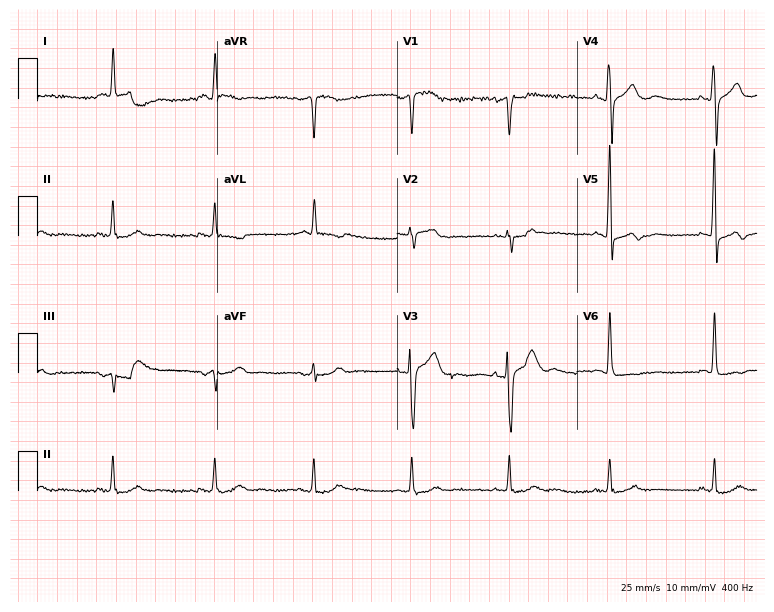
Electrocardiogram (7.3-second recording at 400 Hz), a 71-year-old man. Of the six screened findings (first-degree AV block, right bundle branch block (RBBB), left bundle branch block (LBBB), sinus bradycardia, atrial fibrillation (AF), sinus tachycardia), none is recorded. Other findings, if any, are not listed.